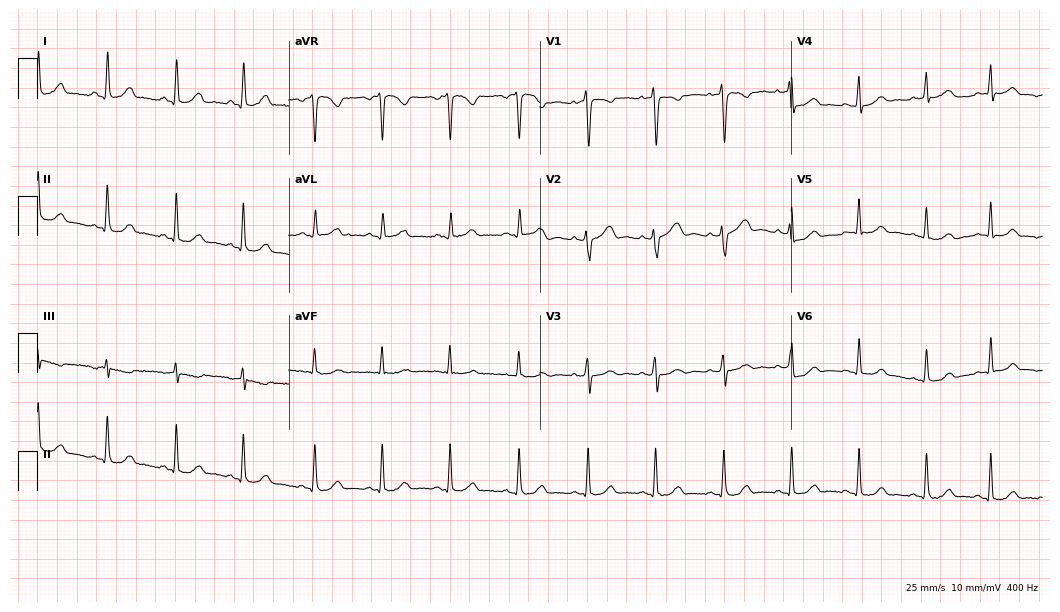
Standard 12-lead ECG recorded from a 20-year-old female. Read as a normal ECG.